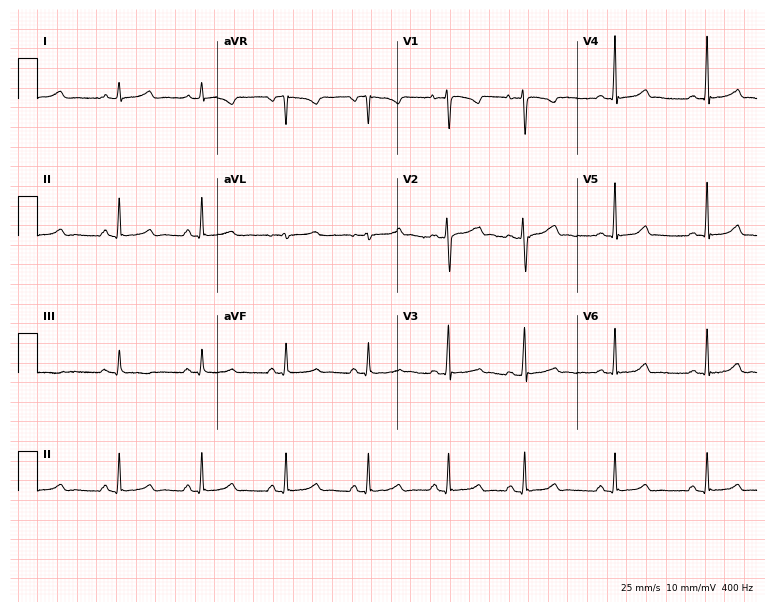
12-lead ECG (7.3-second recording at 400 Hz) from a female patient, 25 years old. Screened for six findings — first-degree AV block, right bundle branch block, left bundle branch block, sinus bradycardia, atrial fibrillation, sinus tachycardia — none is recorded.